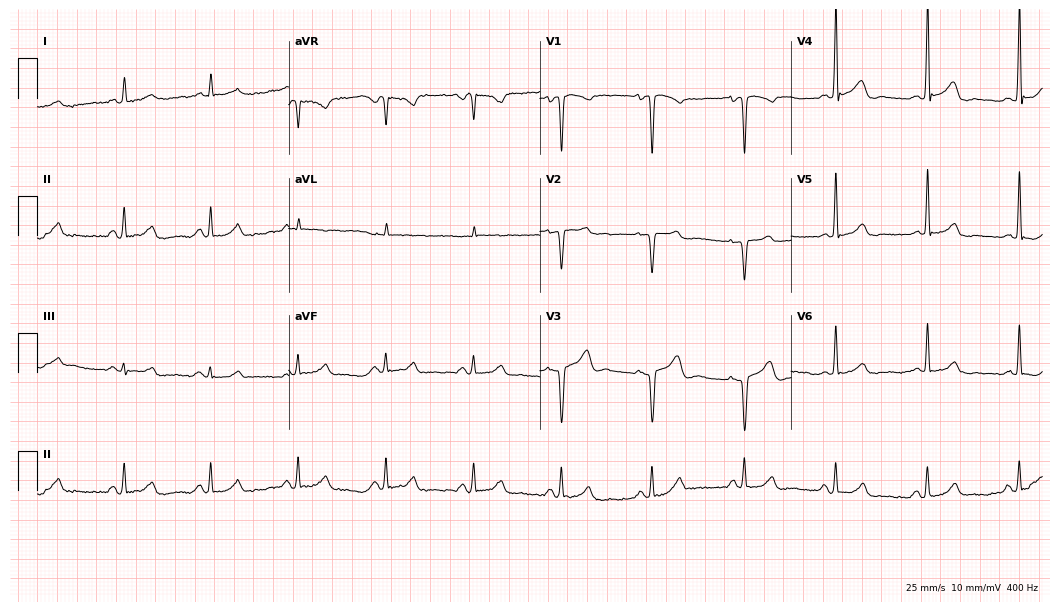
12-lead ECG (10.2-second recording at 400 Hz) from a 44-year-old male patient. Screened for six findings — first-degree AV block, right bundle branch block, left bundle branch block, sinus bradycardia, atrial fibrillation, sinus tachycardia — none is recorded.